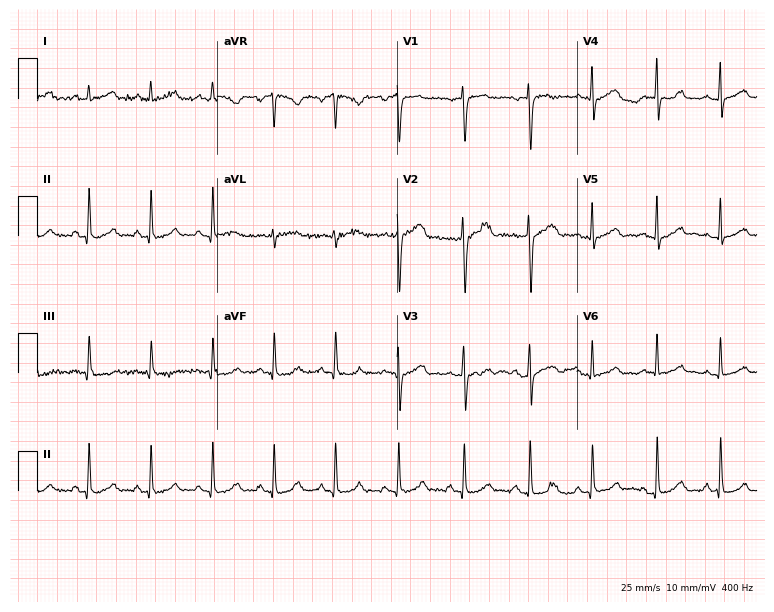
ECG — a 40-year-old female. Labelled as a normal ECG.